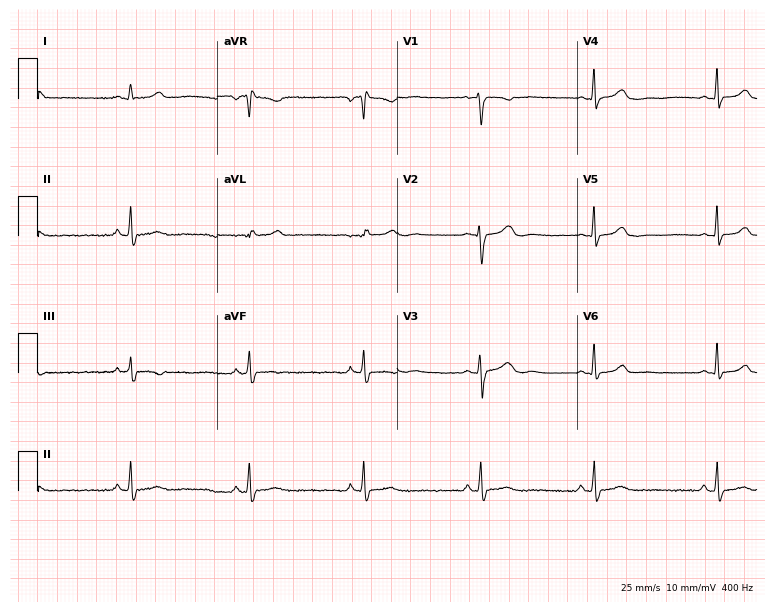
Standard 12-lead ECG recorded from a 22-year-old female (7.3-second recording at 400 Hz). None of these six findings is recorded: first-degree AV block, right bundle branch block, left bundle branch block, sinus bradycardia, atrial fibrillation, sinus tachycardia.